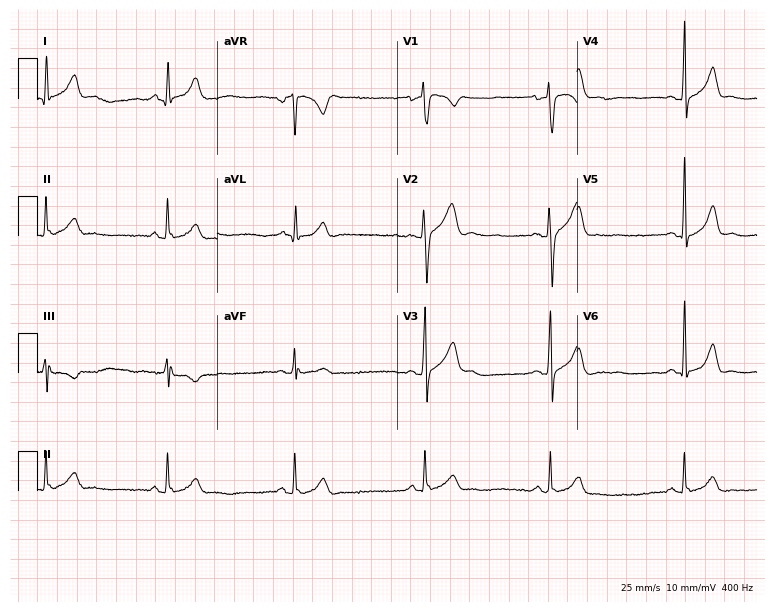
12-lead ECG from a man, 25 years old (7.3-second recording at 400 Hz). Shows sinus bradycardia (a sinus rate of 50 beats per minute or less).